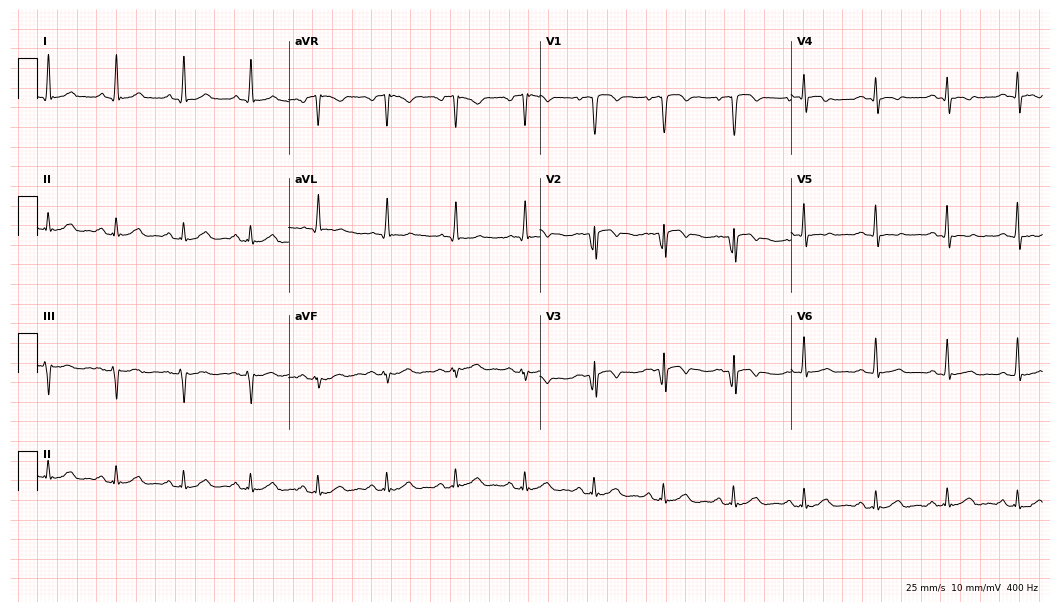
Standard 12-lead ECG recorded from a male patient, 59 years old. Read as a normal ECG.